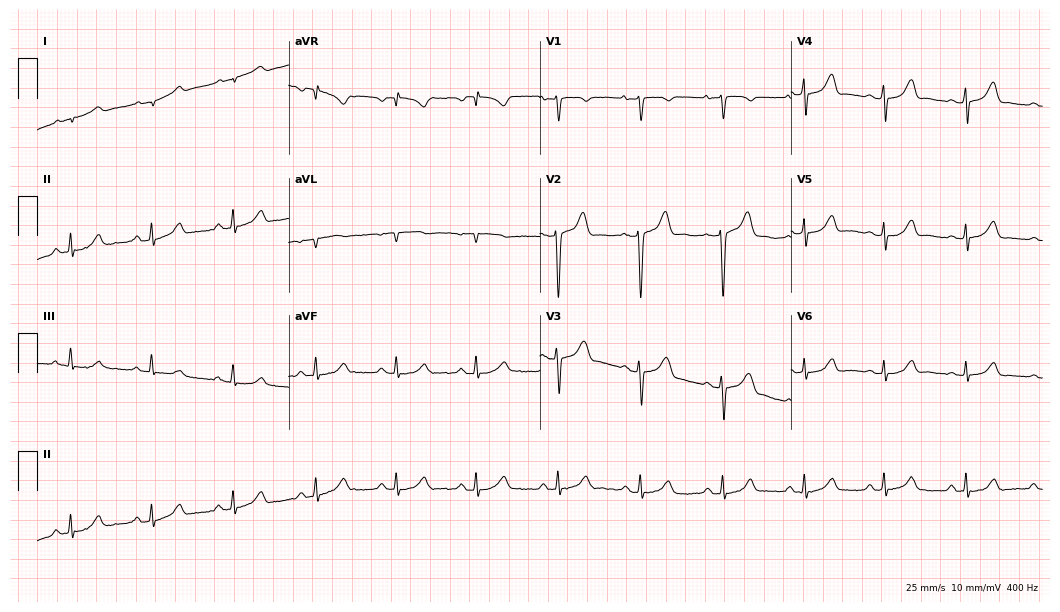
12-lead ECG from a 33-year-old female patient. Screened for six findings — first-degree AV block, right bundle branch block, left bundle branch block, sinus bradycardia, atrial fibrillation, sinus tachycardia — none is recorded.